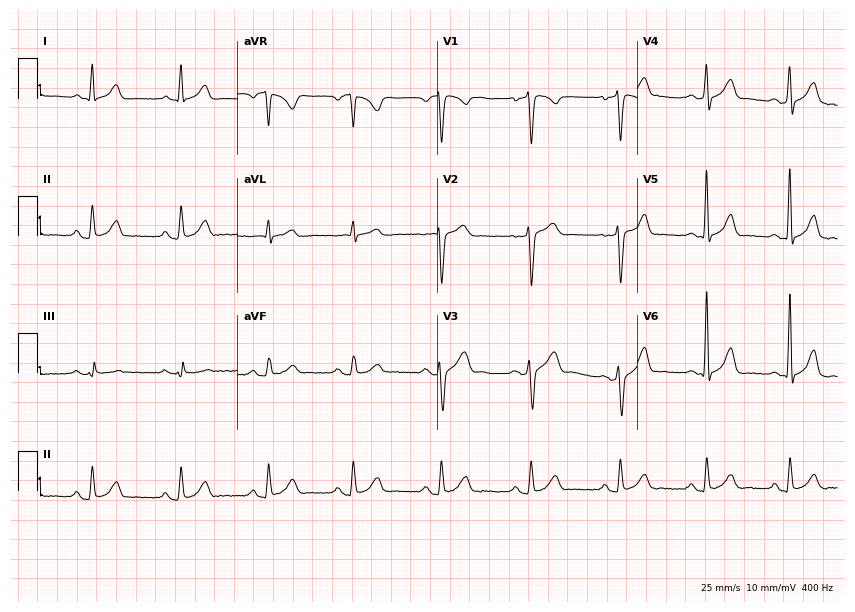
12-lead ECG from a male patient, 62 years old (8.2-second recording at 400 Hz). No first-degree AV block, right bundle branch block (RBBB), left bundle branch block (LBBB), sinus bradycardia, atrial fibrillation (AF) or sinus tachycardia recorded for this tracing. Findings outside these six are not listed.